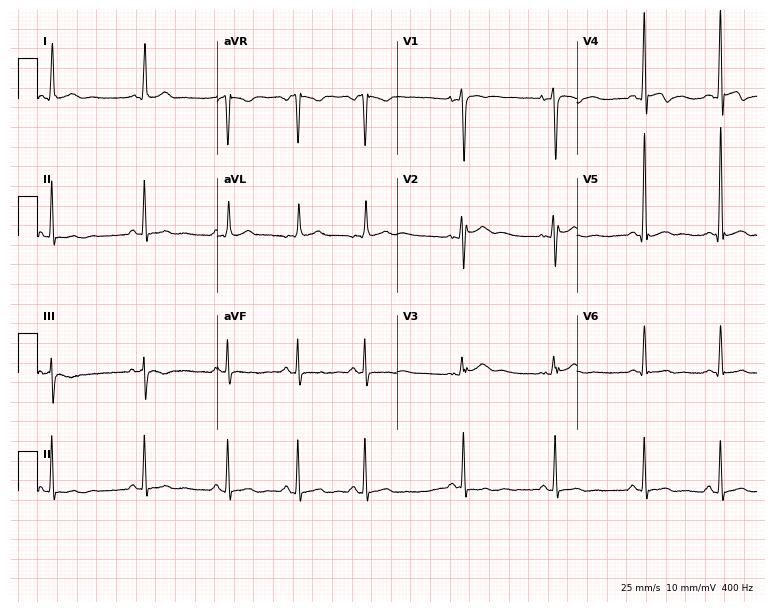
ECG — a male, 22 years old. Screened for six findings — first-degree AV block, right bundle branch block, left bundle branch block, sinus bradycardia, atrial fibrillation, sinus tachycardia — none is recorded. Only these six findings were labelled.